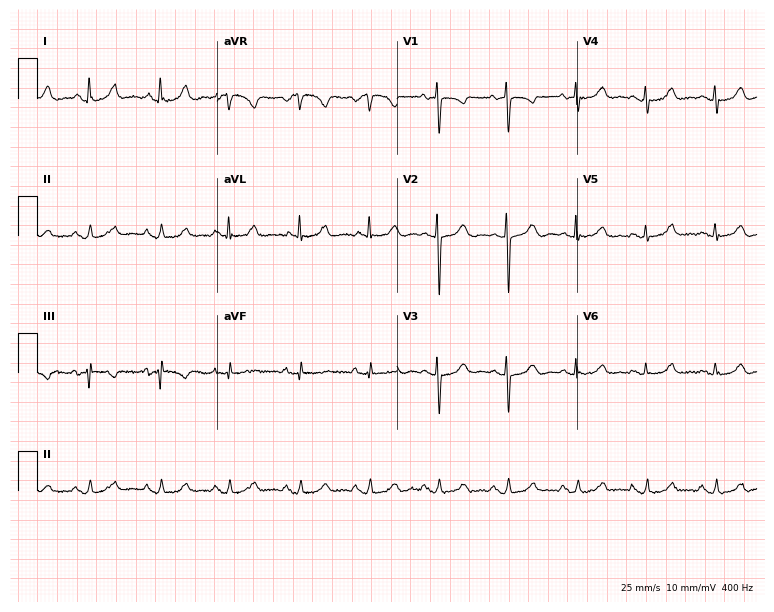
Resting 12-lead electrocardiogram. Patient: an 84-year-old woman. None of these six findings is recorded: first-degree AV block, right bundle branch block (RBBB), left bundle branch block (LBBB), sinus bradycardia, atrial fibrillation (AF), sinus tachycardia.